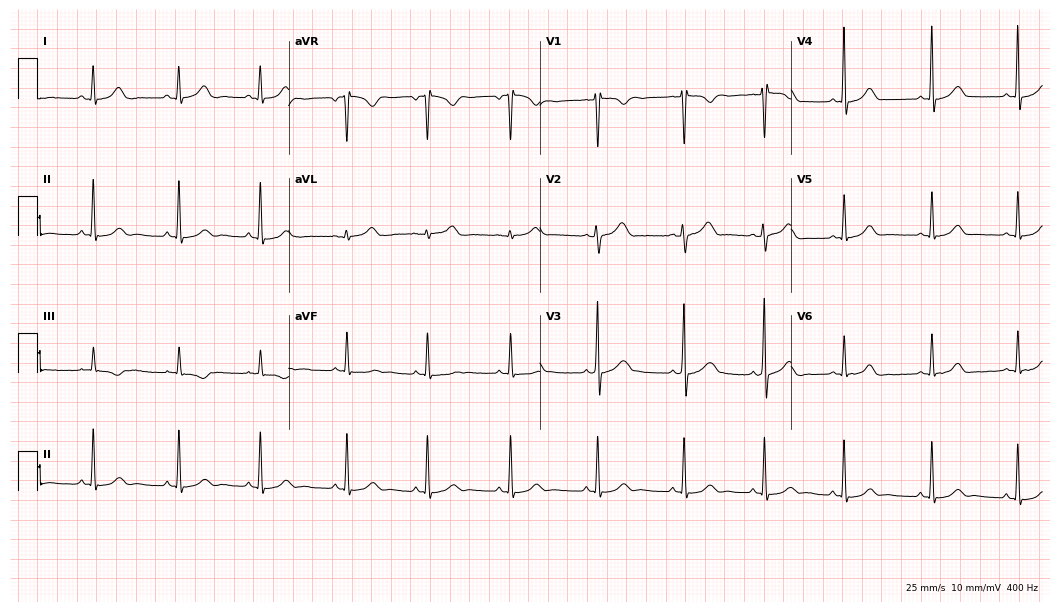
Standard 12-lead ECG recorded from an 18-year-old female patient. Read as a normal ECG.